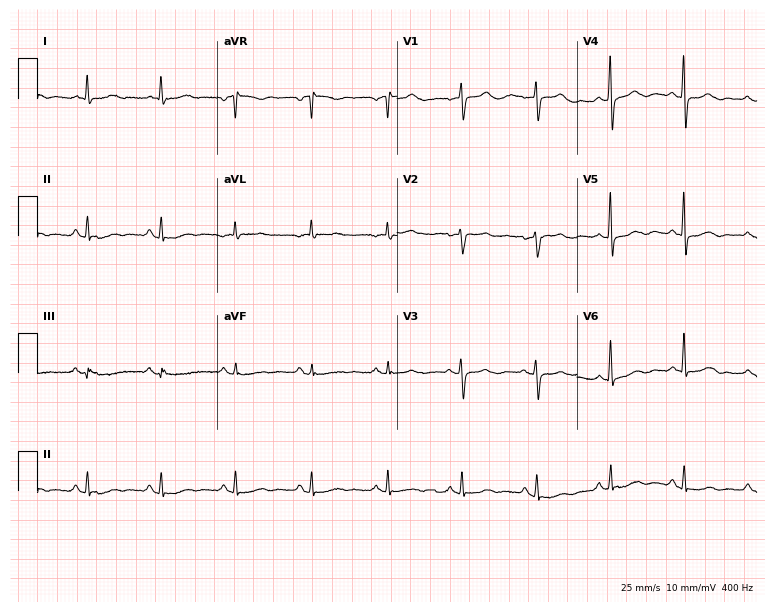
Standard 12-lead ECG recorded from an 85-year-old woman (7.3-second recording at 400 Hz). None of these six findings is recorded: first-degree AV block, right bundle branch block, left bundle branch block, sinus bradycardia, atrial fibrillation, sinus tachycardia.